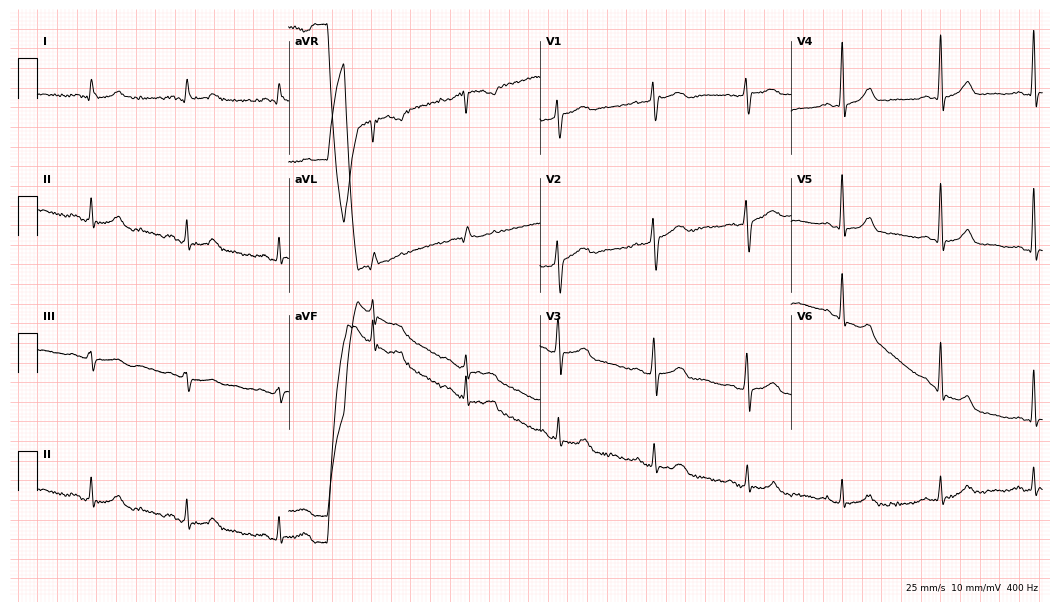
12-lead ECG from a 59-year-old female (10.2-second recording at 400 Hz). No first-degree AV block, right bundle branch block, left bundle branch block, sinus bradycardia, atrial fibrillation or sinus tachycardia recorded for this tracing. Only these six findings were labelled.